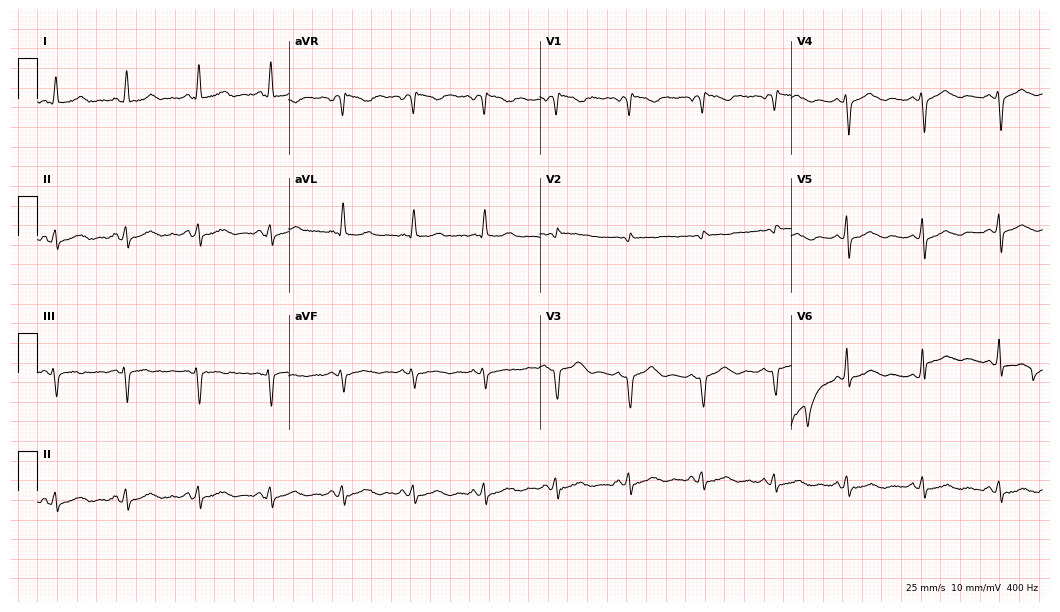
ECG (10.2-second recording at 400 Hz) — a female, 40 years old. Labelled as a normal ECG.